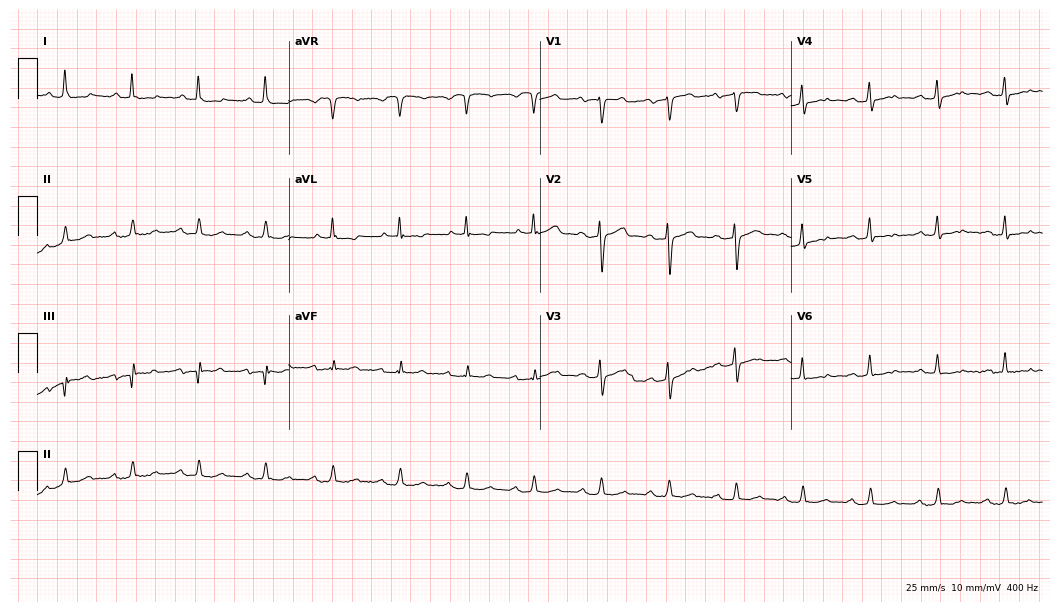
Electrocardiogram (10.2-second recording at 400 Hz), a man, 83 years old. Of the six screened findings (first-degree AV block, right bundle branch block, left bundle branch block, sinus bradycardia, atrial fibrillation, sinus tachycardia), none is recorded. Findings outside these six are not listed.